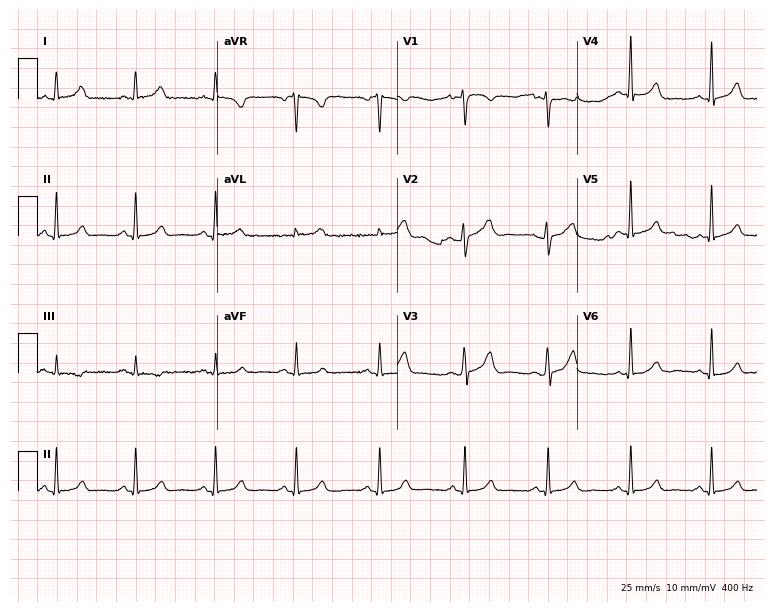
ECG (7.3-second recording at 400 Hz) — a 47-year-old female patient. Labelled as a normal ECG.